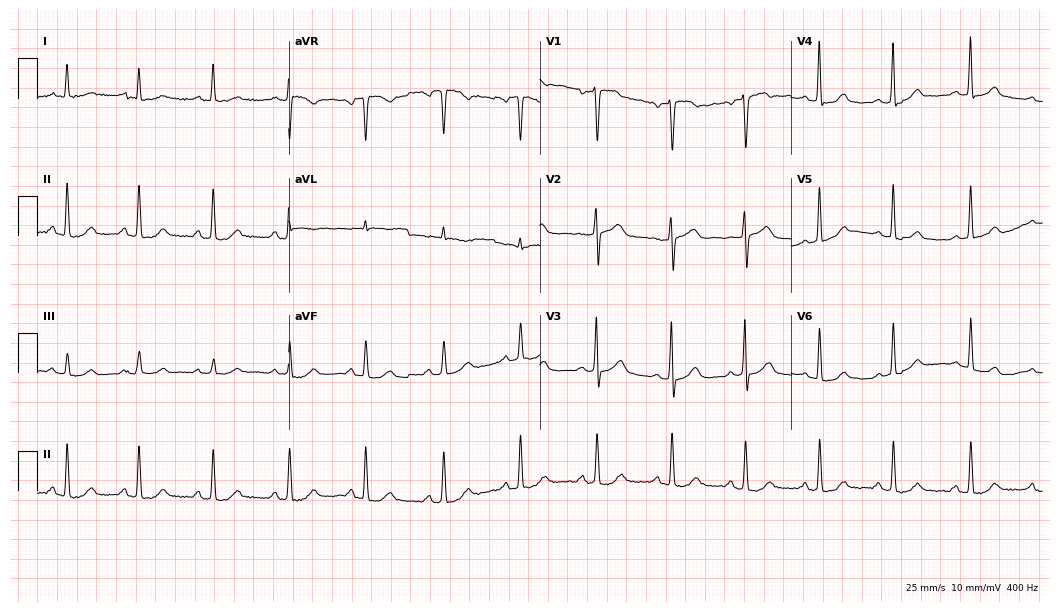
ECG (10.2-second recording at 400 Hz) — a 58-year-old woman. Labelled as a normal ECG.